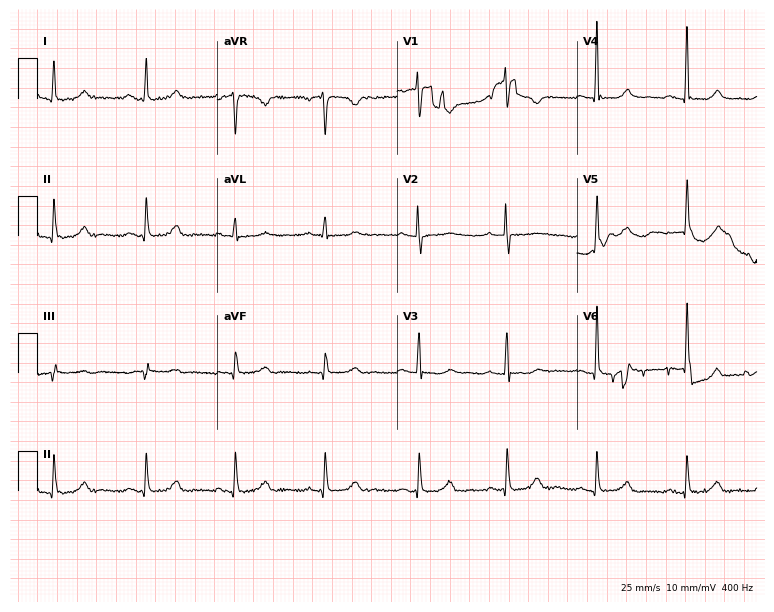
ECG (7.3-second recording at 400 Hz) — a 60-year-old female patient. Labelled as a normal ECG.